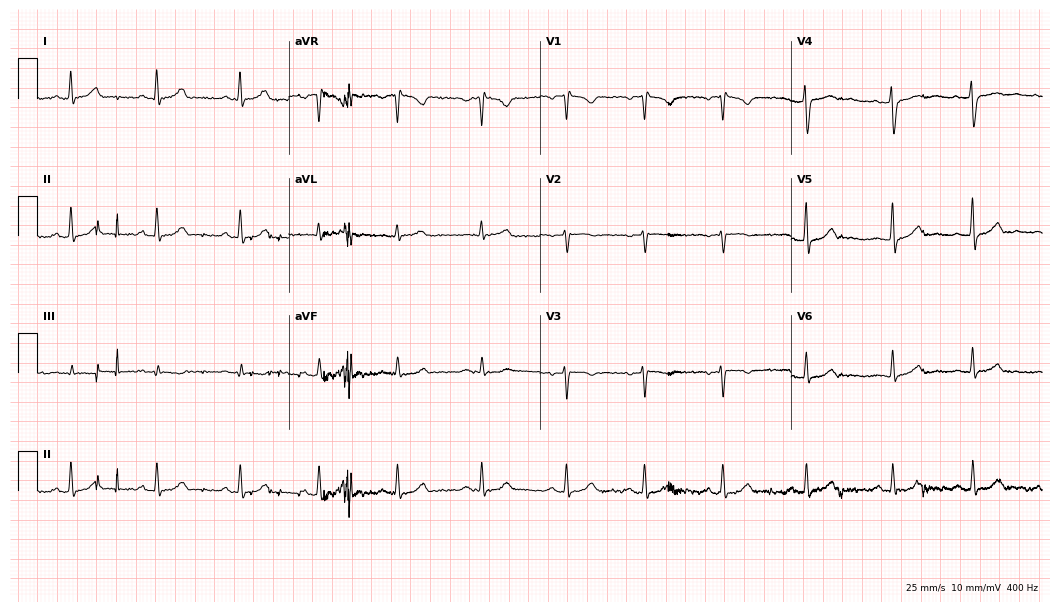
12-lead ECG from a 35-year-old female (10.2-second recording at 400 Hz). Recorded interpretation: within normal limits.